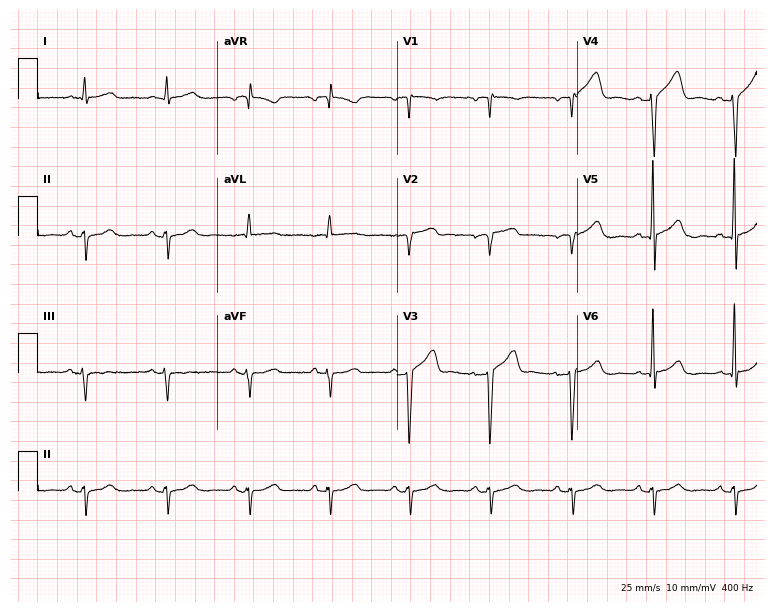
Standard 12-lead ECG recorded from a male patient, 64 years old. None of these six findings is recorded: first-degree AV block, right bundle branch block, left bundle branch block, sinus bradycardia, atrial fibrillation, sinus tachycardia. Only these six findings were labelled.